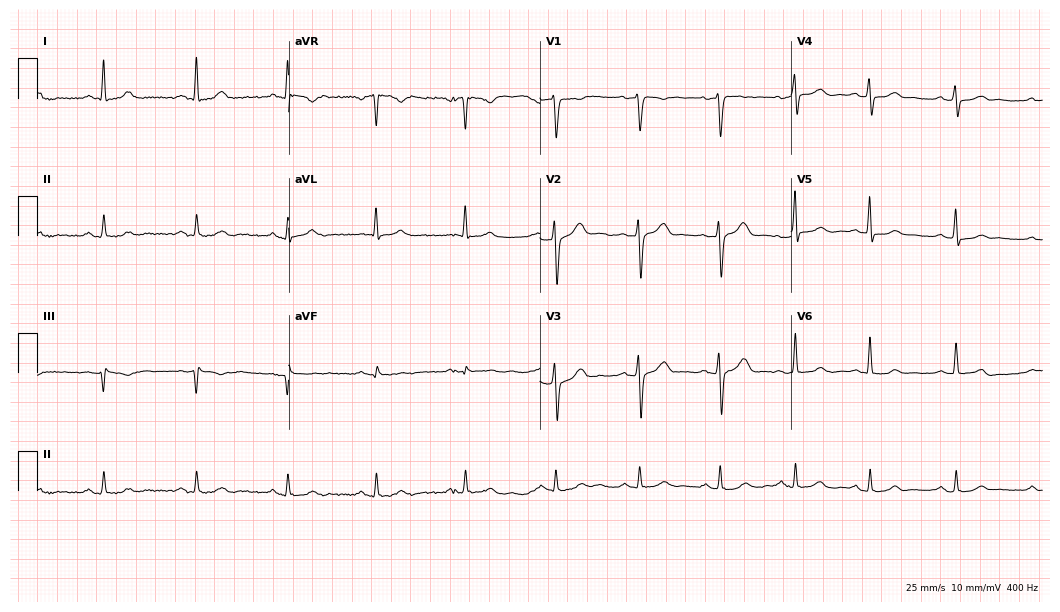
Resting 12-lead electrocardiogram. Patient: a male, 37 years old. Read as a normal ECG.